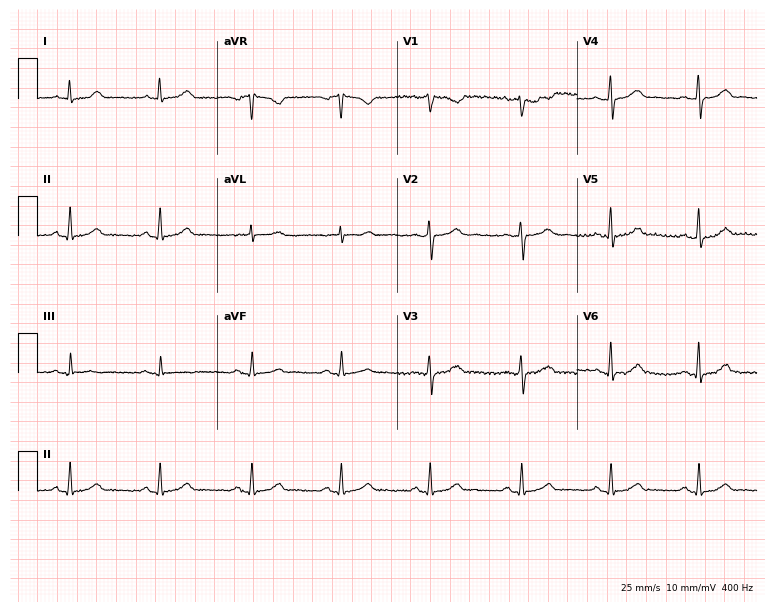
Resting 12-lead electrocardiogram. Patient: a 45-year-old female. Read as a normal ECG.